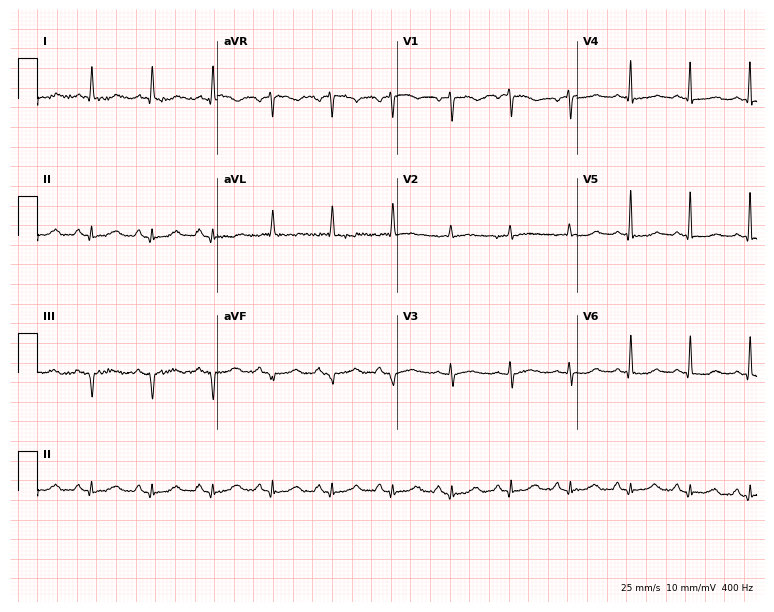
12-lead ECG (7.3-second recording at 400 Hz) from a 63-year-old woman. Screened for six findings — first-degree AV block, right bundle branch block, left bundle branch block, sinus bradycardia, atrial fibrillation, sinus tachycardia — none is recorded. Only these six findings were labelled.